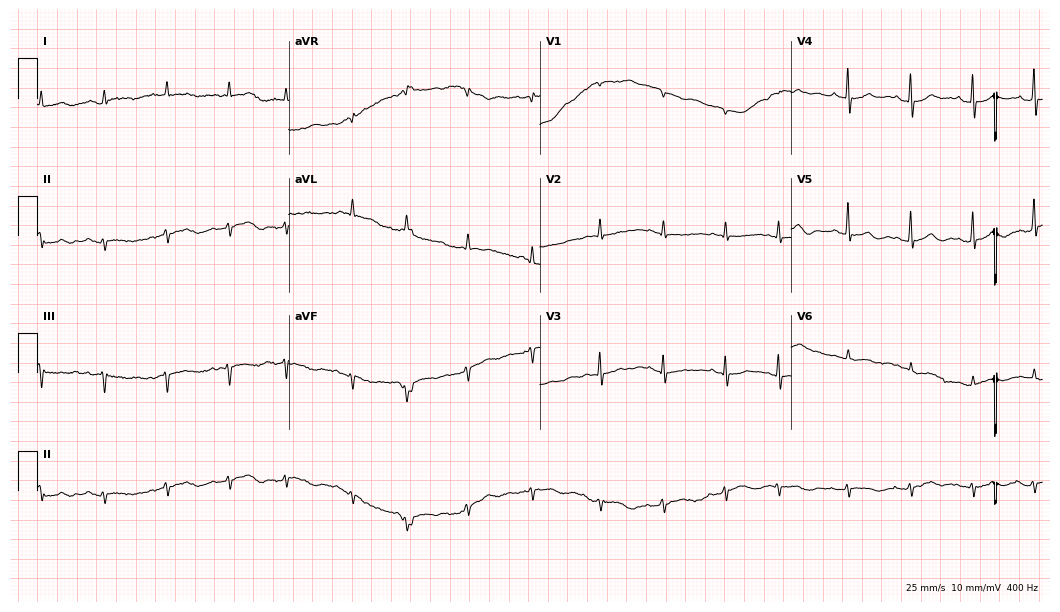
12-lead ECG (10.2-second recording at 400 Hz) from a 73-year-old female. Screened for six findings — first-degree AV block, right bundle branch block (RBBB), left bundle branch block (LBBB), sinus bradycardia, atrial fibrillation (AF), sinus tachycardia — none is recorded. Only these six findings were labelled.